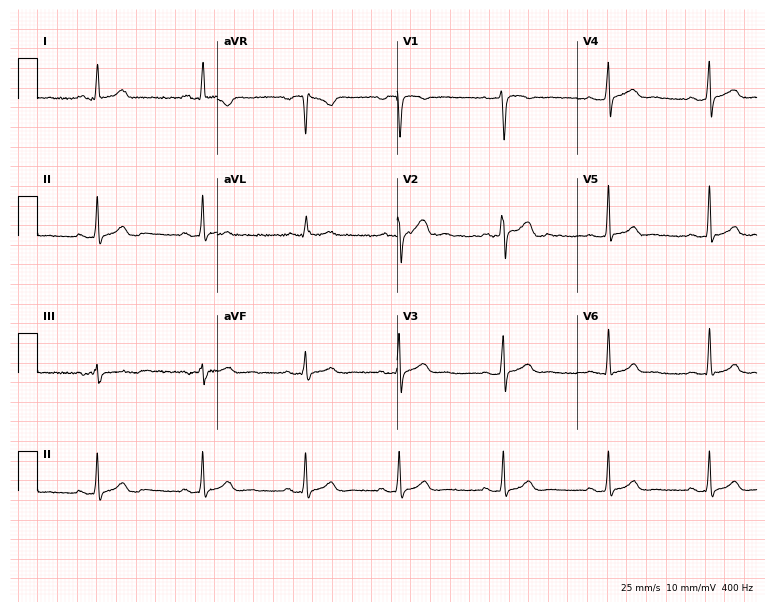
ECG (7.3-second recording at 400 Hz) — a 29-year-old female patient. Labelled as a normal ECG.